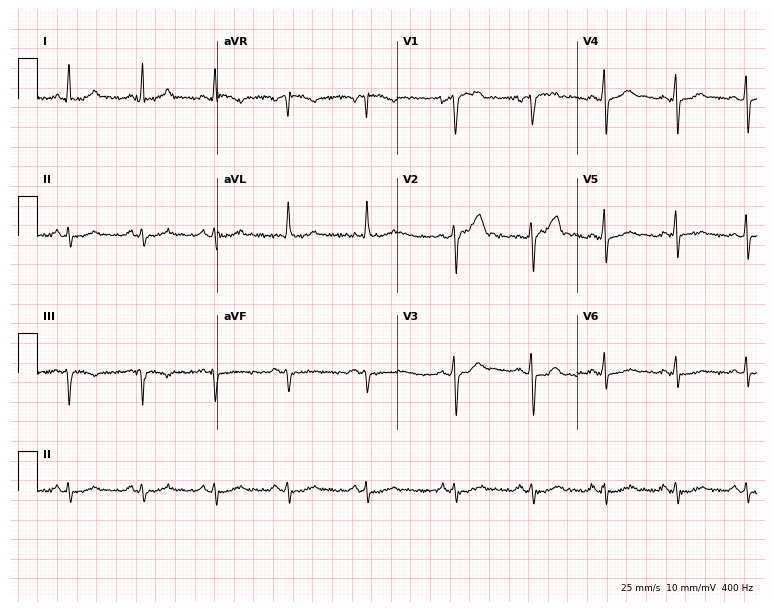
ECG — a 43-year-old male. Labelled as a normal ECG.